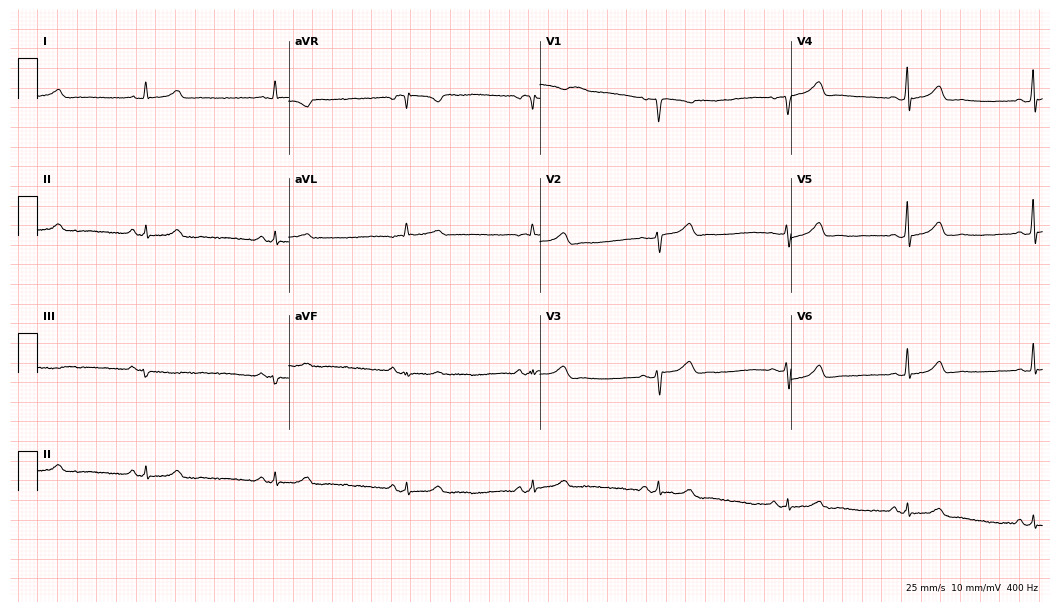
12-lead ECG from a 27-year-old female. Screened for six findings — first-degree AV block, right bundle branch block, left bundle branch block, sinus bradycardia, atrial fibrillation, sinus tachycardia — none is recorded. Only these six findings were labelled.